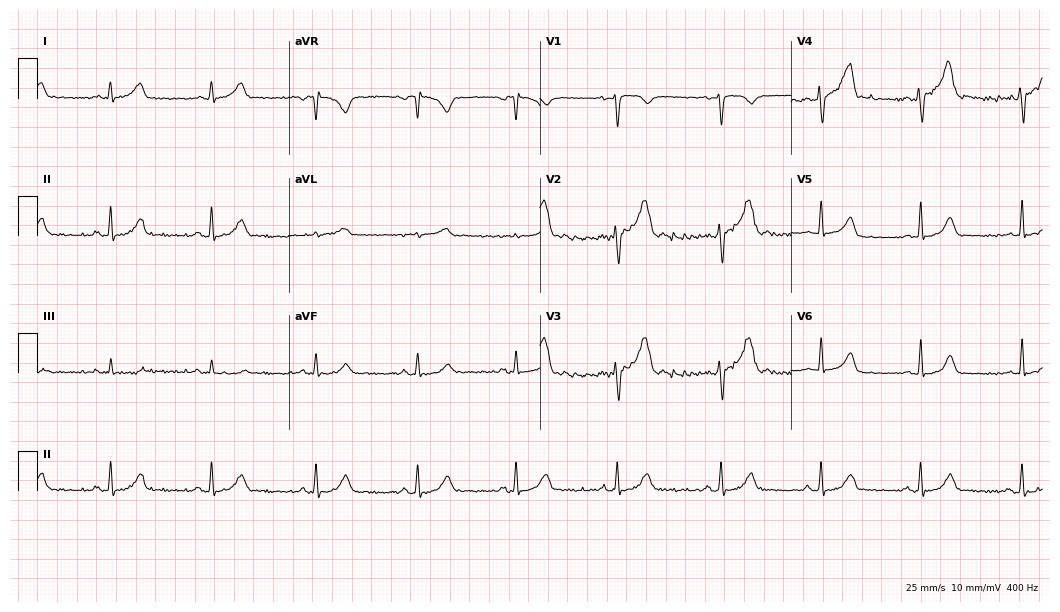
12-lead ECG from a male, 27 years old (10.2-second recording at 400 Hz). Recorded interpretation: within normal limits.